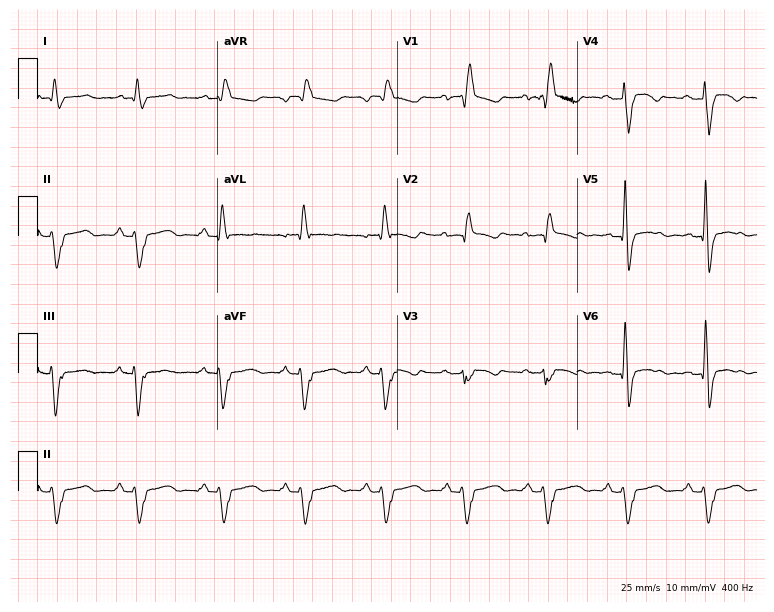
12-lead ECG (7.3-second recording at 400 Hz) from a 60-year-old male. Findings include right bundle branch block (RBBB).